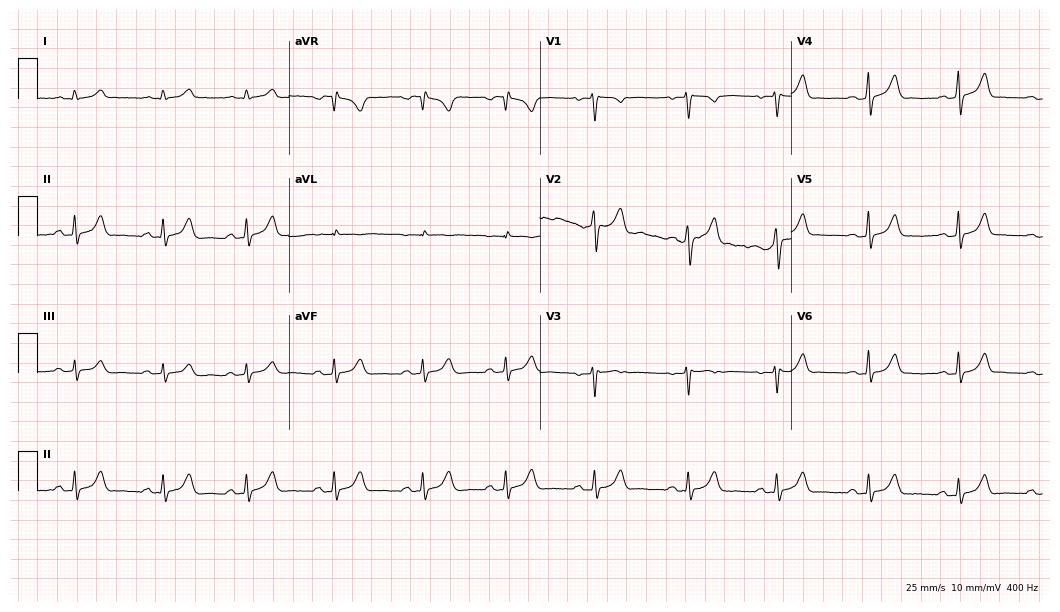
12-lead ECG from a female, 30 years old (10.2-second recording at 400 Hz). Recorded interpretation: within normal limits.